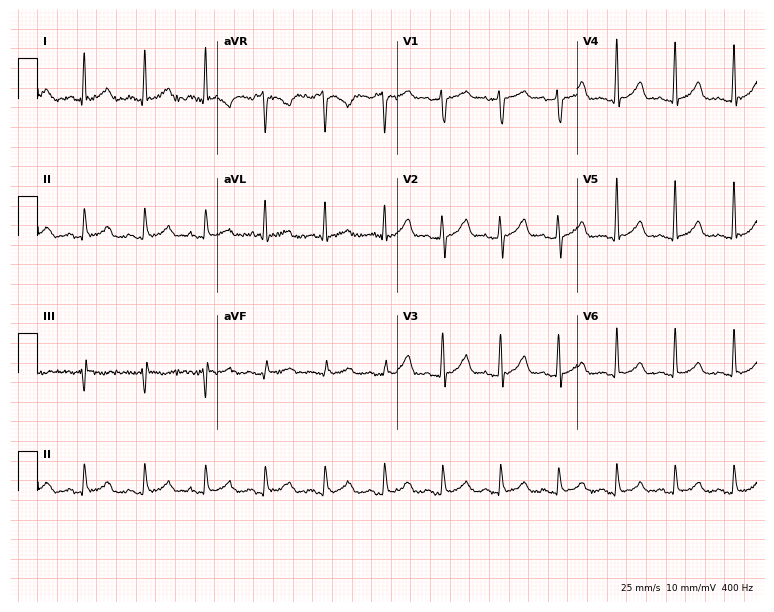
12-lead ECG (7.3-second recording at 400 Hz) from a 20-year-old man. Screened for six findings — first-degree AV block, right bundle branch block (RBBB), left bundle branch block (LBBB), sinus bradycardia, atrial fibrillation (AF), sinus tachycardia — none is recorded.